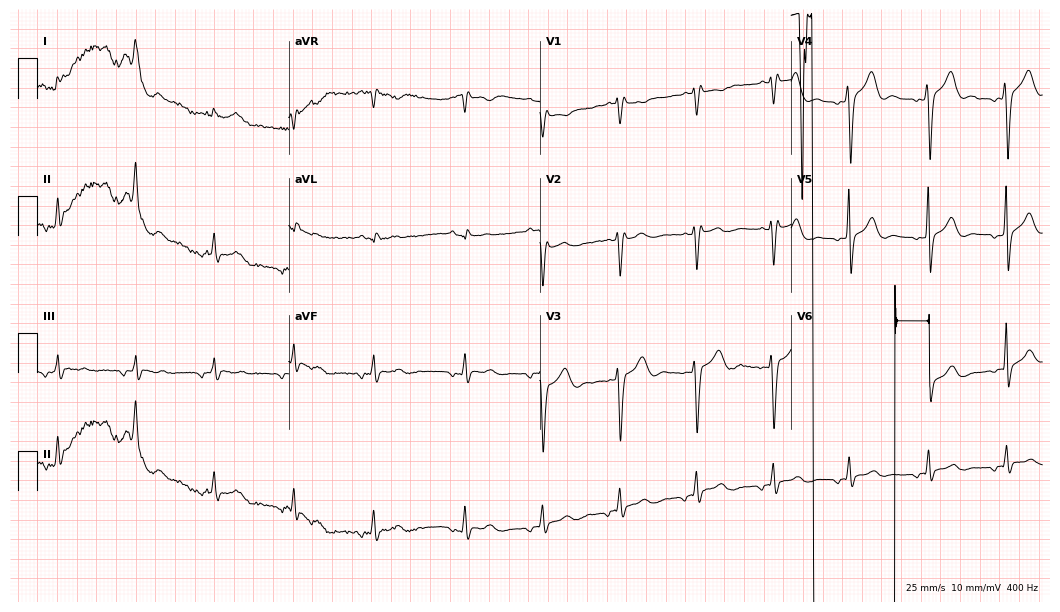
12-lead ECG (10.2-second recording at 400 Hz) from a man, 29 years old. Screened for six findings — first-degree AV block, right bundle branch block, left bundle branch block, sinus bradycardia, atrial fibrillation, sinus tachycardia — none is recorded.